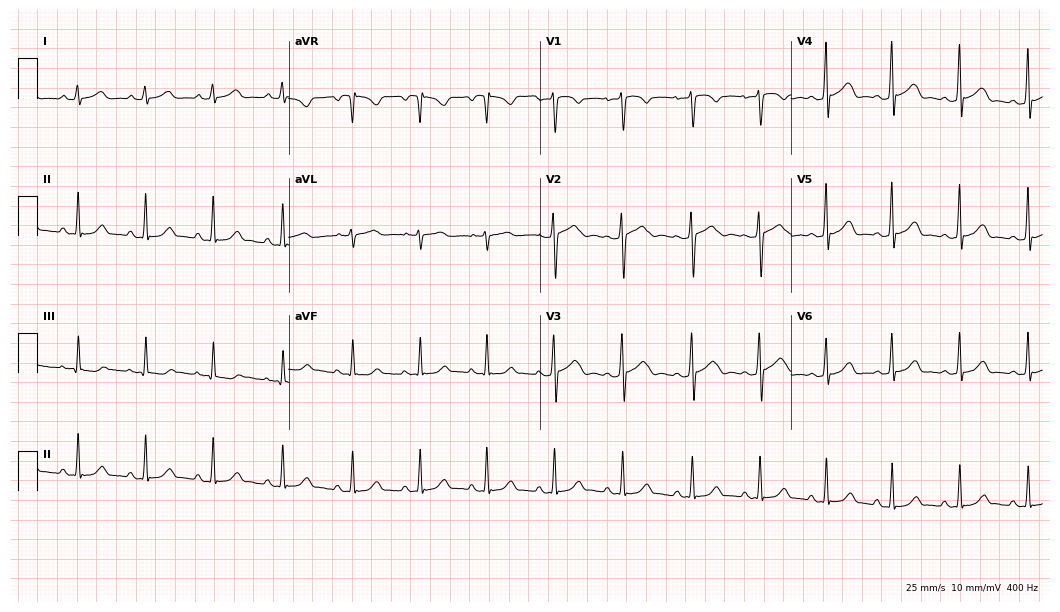
12-lead ECG from a woman, 26 years old (10.2-second recording at 400 Hz). Recorded interpretation: within normal limits.